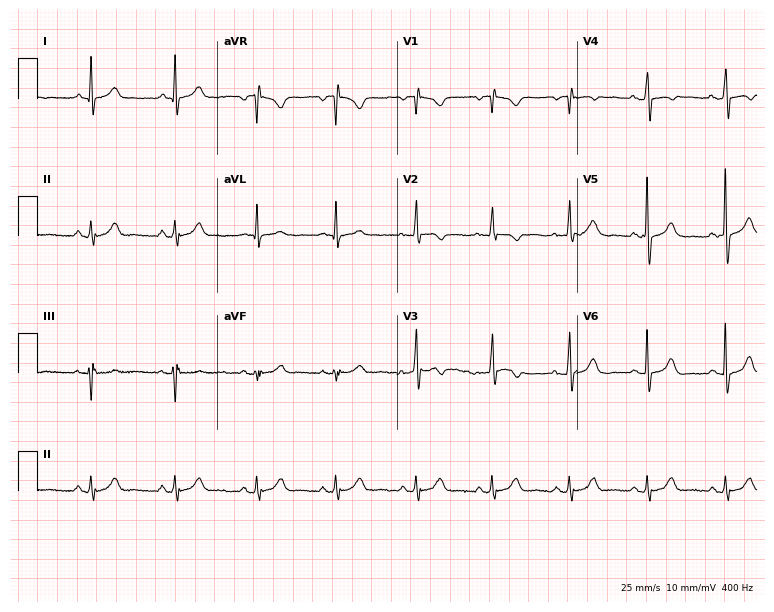
ECG — a female patient, 59 years old. Screened for six findings — first-degree AV block, right bundle branch block, left bundle branch block, sinus bradycardia, atrial fibrillation, sinus tachycardia — none is recorded. Only these six findings were labelled.